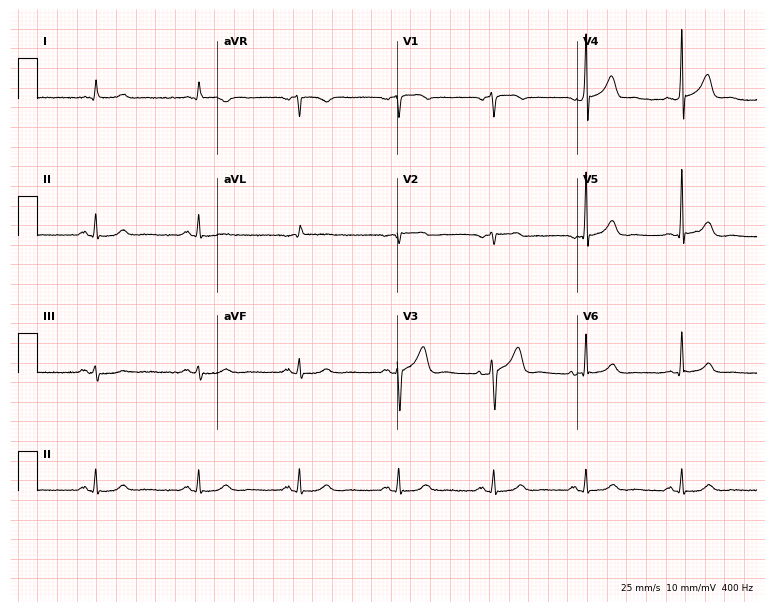
12-lead ECG from an 86-year-old male patient. Screened for six findings — first-degree AV block, right bundle branch block, left bundle branch block, sinus bradycardia, atrial fibrillation, sinus tachycardia — none is recorded. Only these six findings were labelled.